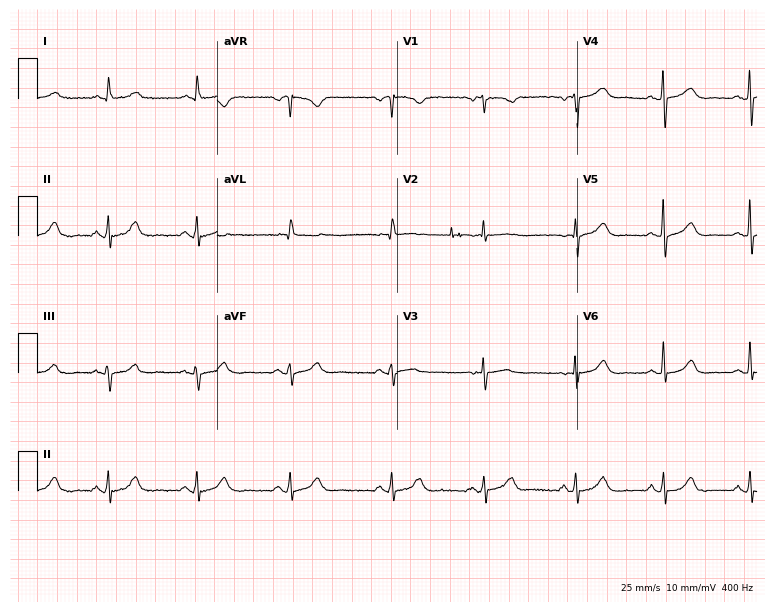
12-lead ECG from a 77-year-old woman. Recorded interpretation: within normal limits.